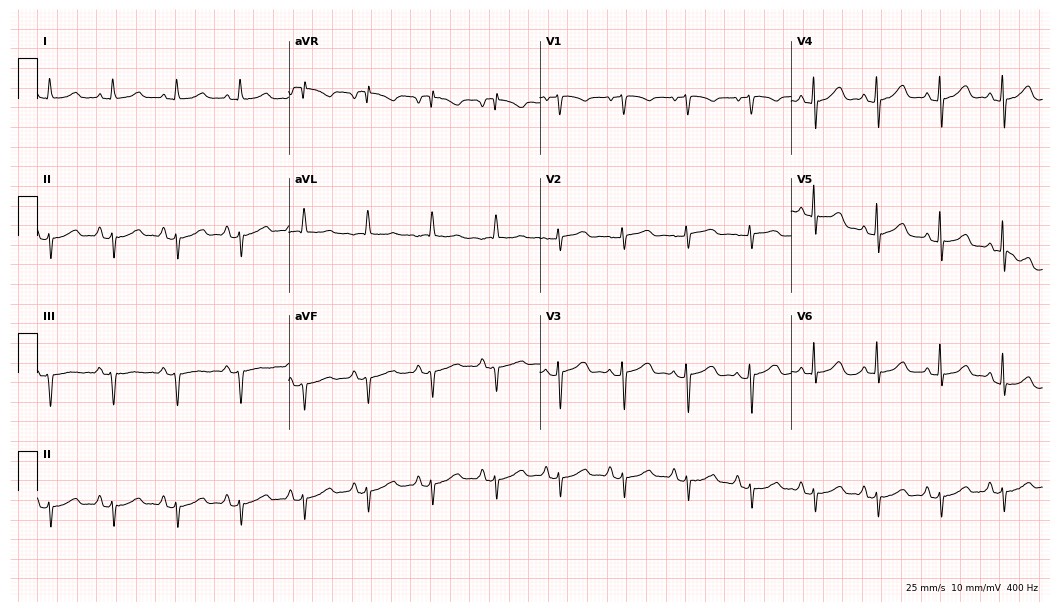
Standard 12-lead ECG recorded from a female patient, 82 years old (10.2-second recording at 400 Hz). None of these six findings is recorded: first-degree AV block, right bundle branch block, left bundle branch block, sinus bradycardia, atrial fibrillation, sinus tachycardia. Findings outside these six are not listed.